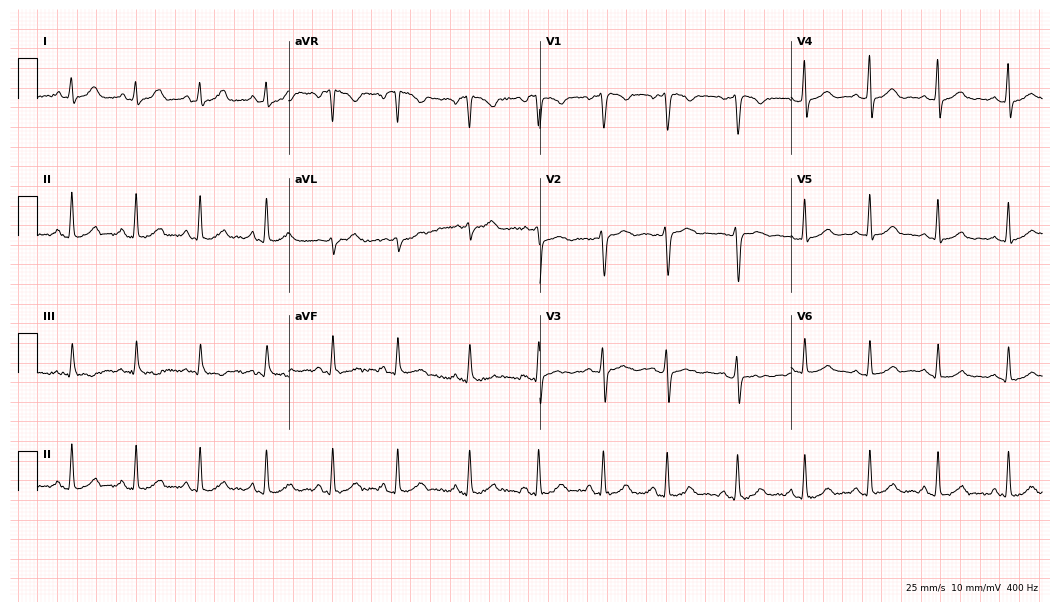
12-lead ECG from a female patient, 22 years old. Recorded interpretation: within normal limits.